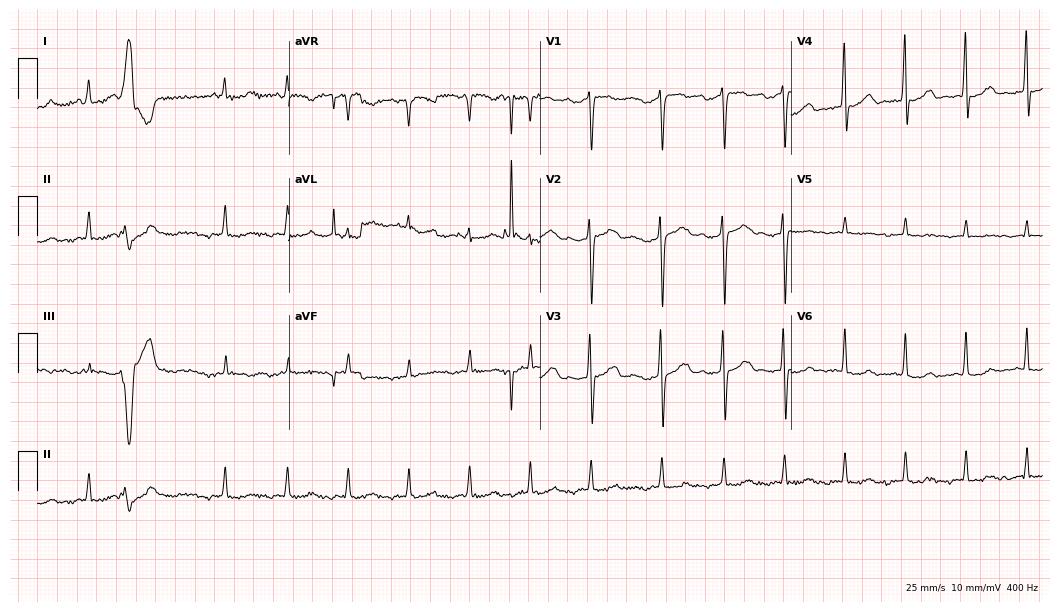
Standard 12-lead ECG recorded from a male, 53 years old. None of these six findings is recorded: first-degree AV block, right bundle branch block (RBBB), left bundle branch block (LBBB), sinus bradycardia, atrial fibrillation (AF), sinus tachycardia. Findings outside these six are not listed.